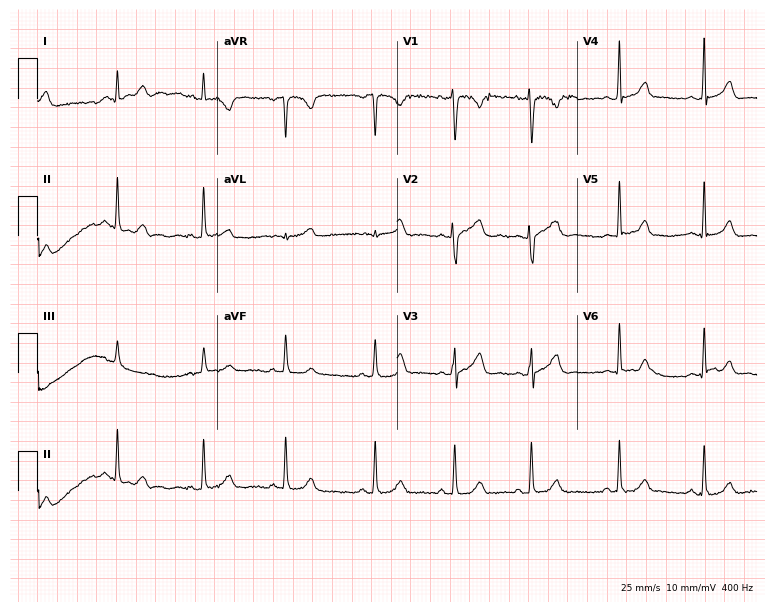
Standard 12-lead ECG recorded from a 31-year-old woman. Read as a normal ECG.